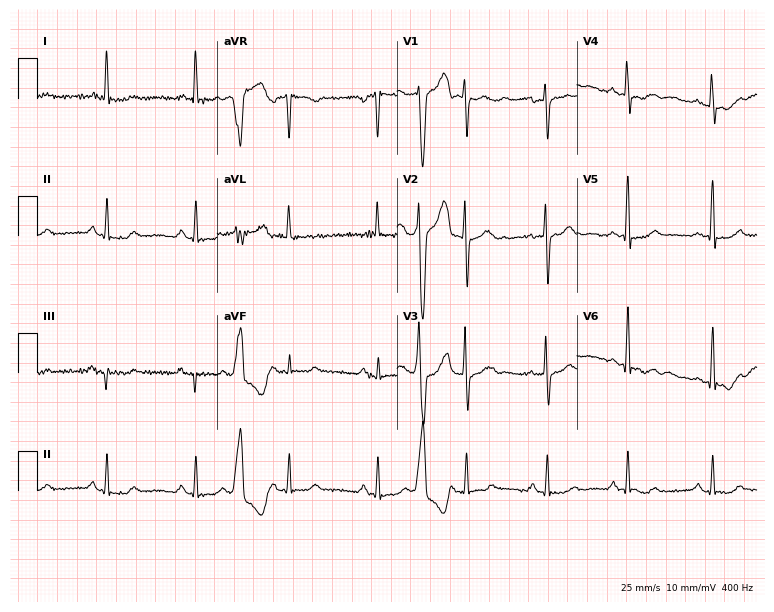
Standard 12-lead ECG recorded from a female, 56 years old. None of these six findings is recorded: first-degree AV block, right bundle branch block (RBBB), left bundle branch block (LBBB), sinus bradycardia, atrial fibrillation (AF), sinus tachycardia.